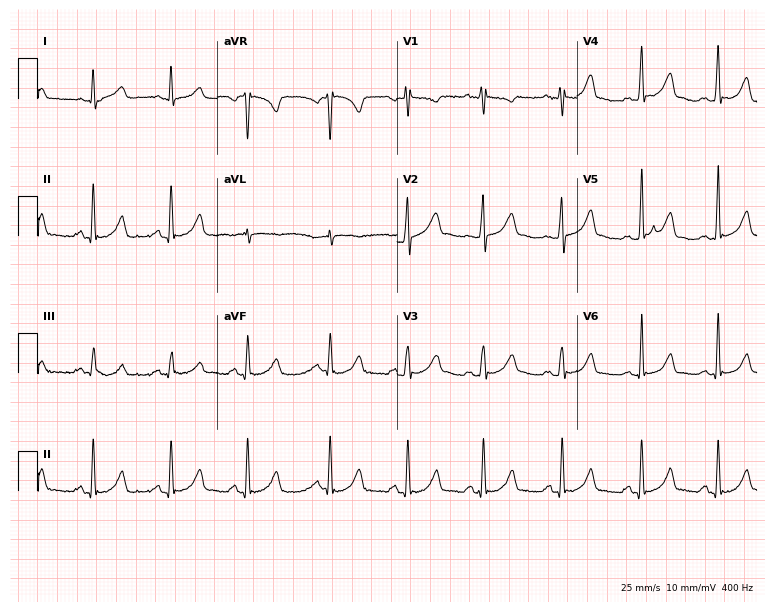
Electrocardiogram, an 18-year-old female patient. Overall reading on record: normal ECG.